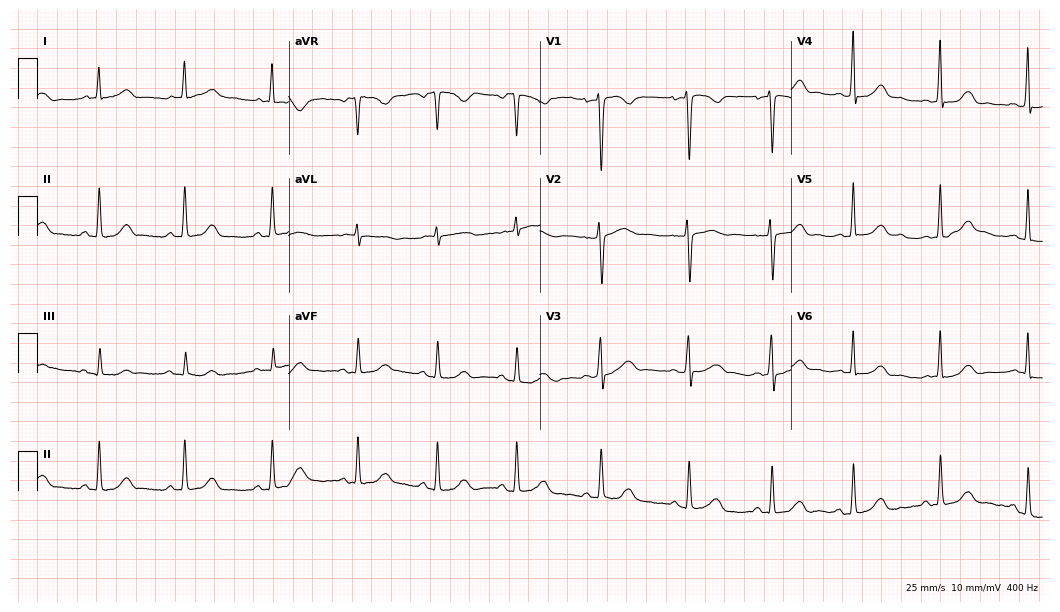
Standard 12-lead ECG recorded from a 39-year-old female. None of these six findings is recorded: first-degree AV block, right bundle branch block (RBBB), left bundle branch block (LBBB), sinus bradycardia, atrial fibrillation (AF), sinus tachycardia.